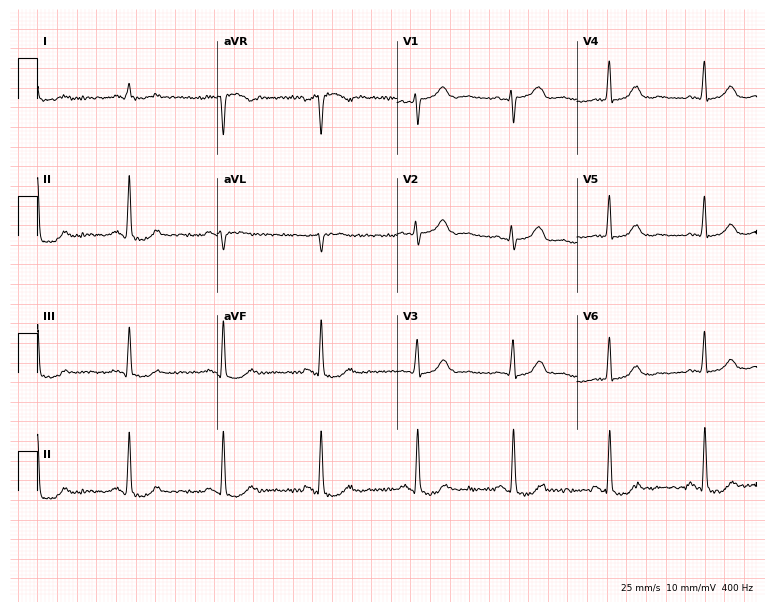
12-lead ECG from an 82-year-old male patient (7.3-second recording at 400 Hz). No first-degree AV block, right bundle branch block (RBBB), left bundle branch block (LBBB), sinus bradycardia, atrial fibrillation (AF) or sinus tachycardia recorded for this tracing. Only these six findings were labelled.